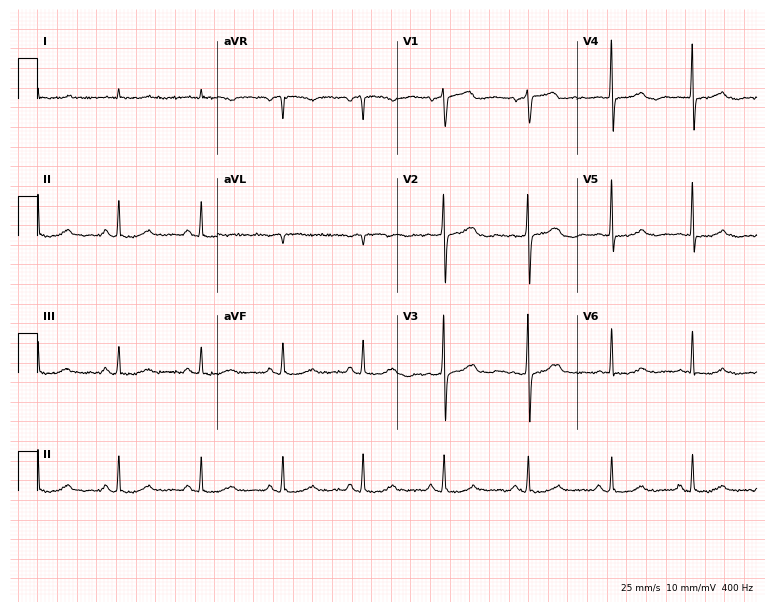
Standard 12-lead ECG recorded from a 60-year-old man (7.3-second recording at 400 Hz). Read as a normal ECG.